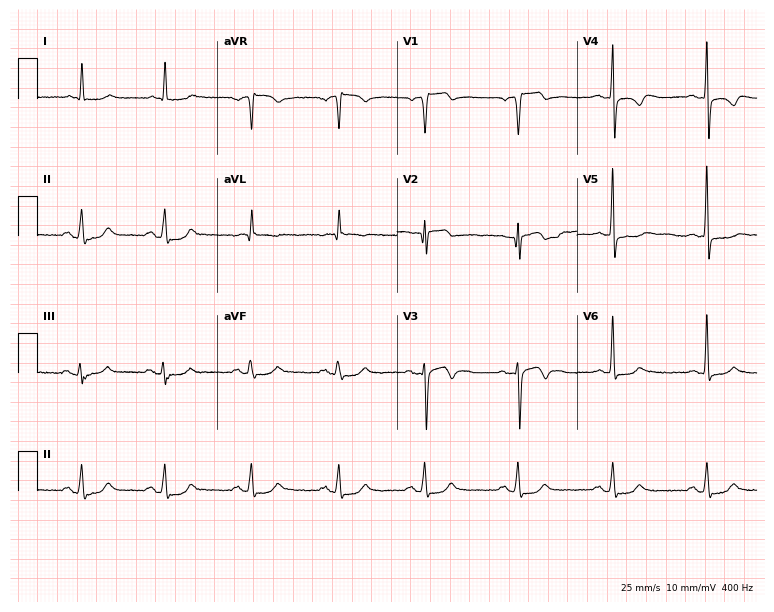
Electrocardiogram (7.3-second recording at 400 Hz), a 58-year-old man. Of the six screened findings (first-degree AV block, right bundle branch block, left bundle branch block, sinus bradycardia, atrial fibrillation, sinus tachycardia), none is recorded.